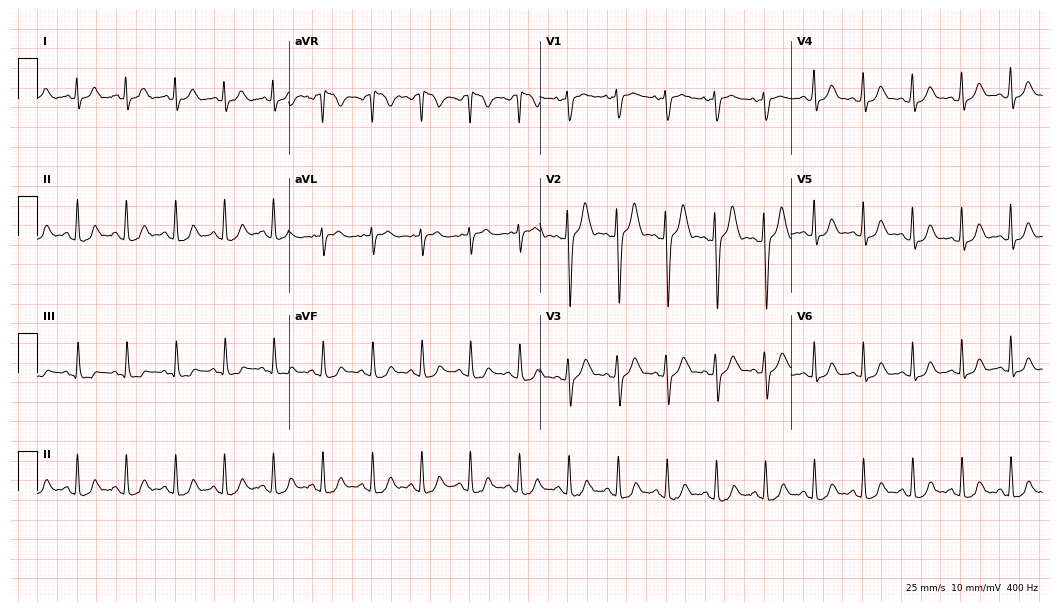
12-lead ECG from a 28-year-old female patient (10.2-second recording at 400 Hz). Shows sinus tachycardia (a sinus rate of 100 beats per minute or more).